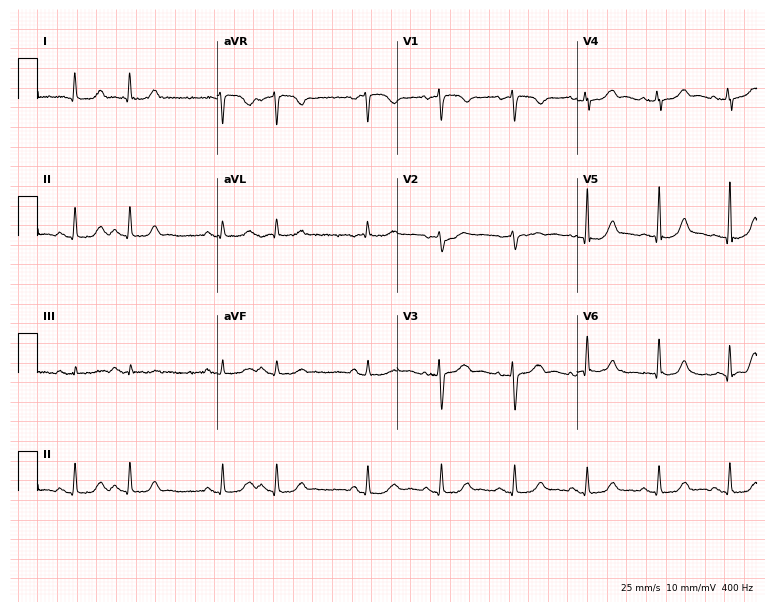
Resting 12-lead electrocardiogram (7.3-second recording at 400 Hz). Patient: a 72-year-old female. None of these six findings is recorded: first-degree AV block, right bundle branch block, left bundle branch block, sinus bradycardia, atrial fibrillation, sinus tachycardia. Other findings, if any, are not listed.